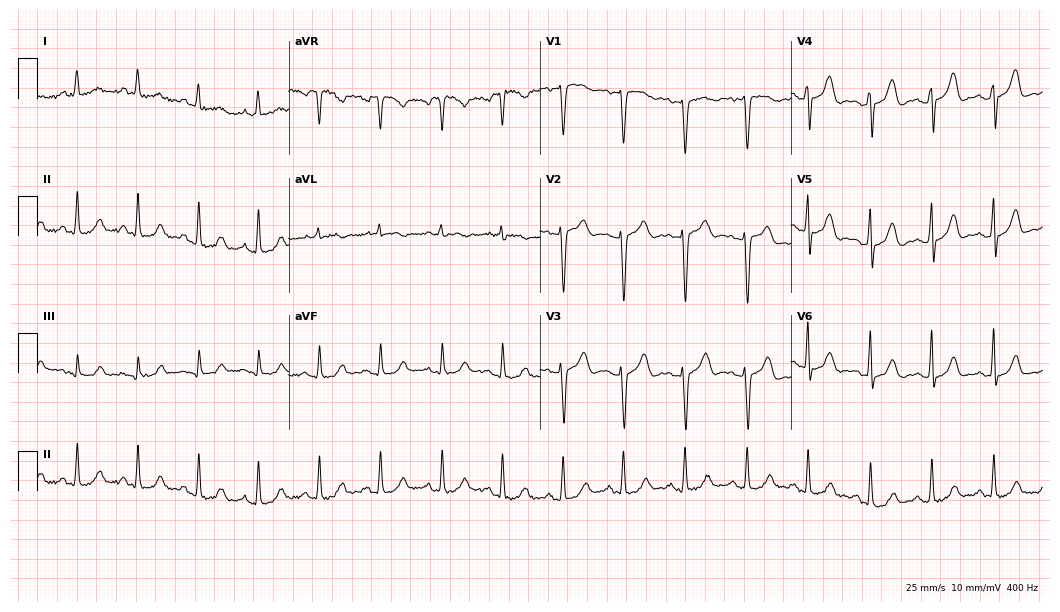
ECG — a 46-year-old female. Labelled as a normal ECG.